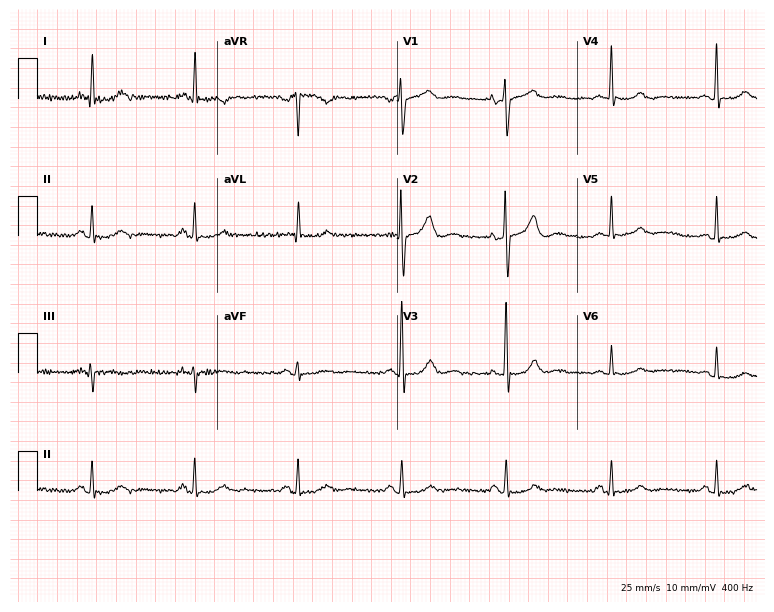
12-lead ECG from a 61-year-old woman. Screened for six findings — first-degree AV block, right bundle branch block, left bundle branch block, sinus bradycardia, atrial fibrillation, sinus tachycardia — none is recorded. Findings outside these six are not listed.